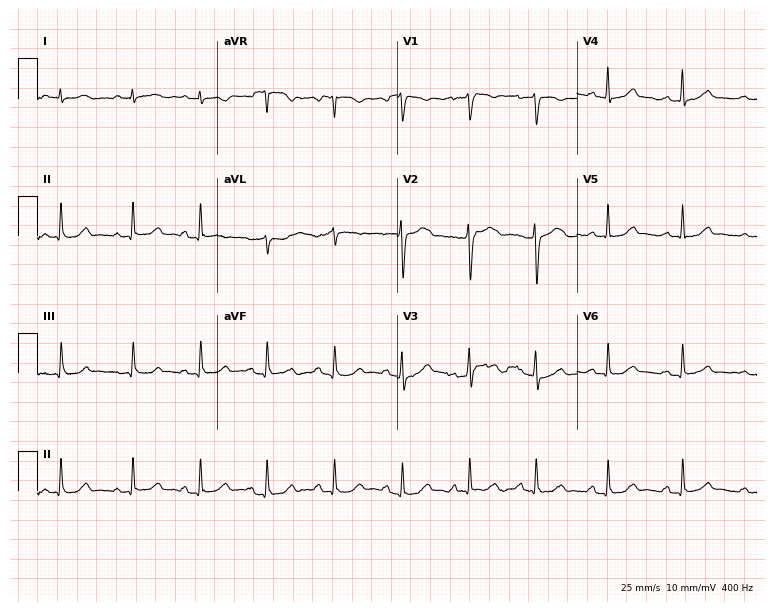
Electrocardiogram, a 32-year-old female. Overall reading on record: normal ECG.